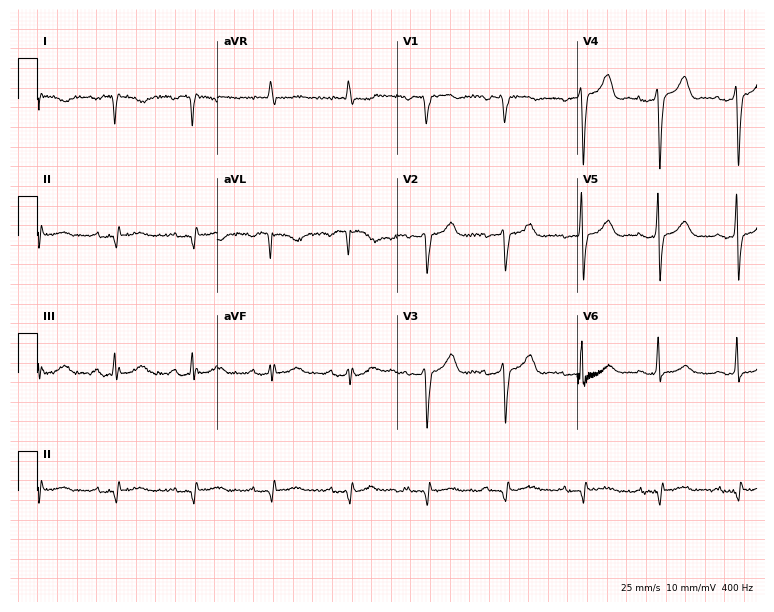
ECG (7.3-second recording at 400 Hz) — a woman, 64 years old. Screened for six findings — first-degree AV block, right bundle branch block (RBBB), left bundle branch block (LBBB), sinus bradycardia, atrial fibrillation (AF), sinus tachycardia — none is recorded. Only these six findings were labelled.